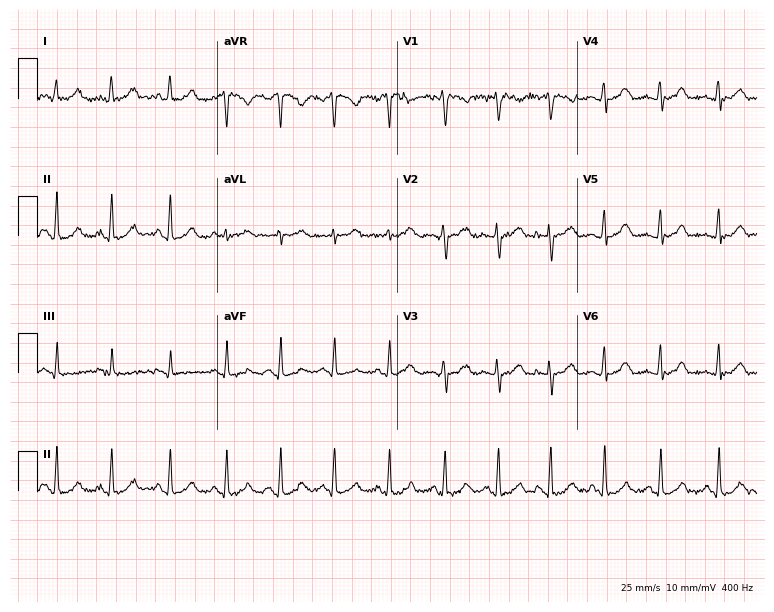
ECG (7.3-second recording at 400 Hz) — a 22-year-old woman. Findings include sinus tachycardia (a sinus rate of 100 beats per minute or more).